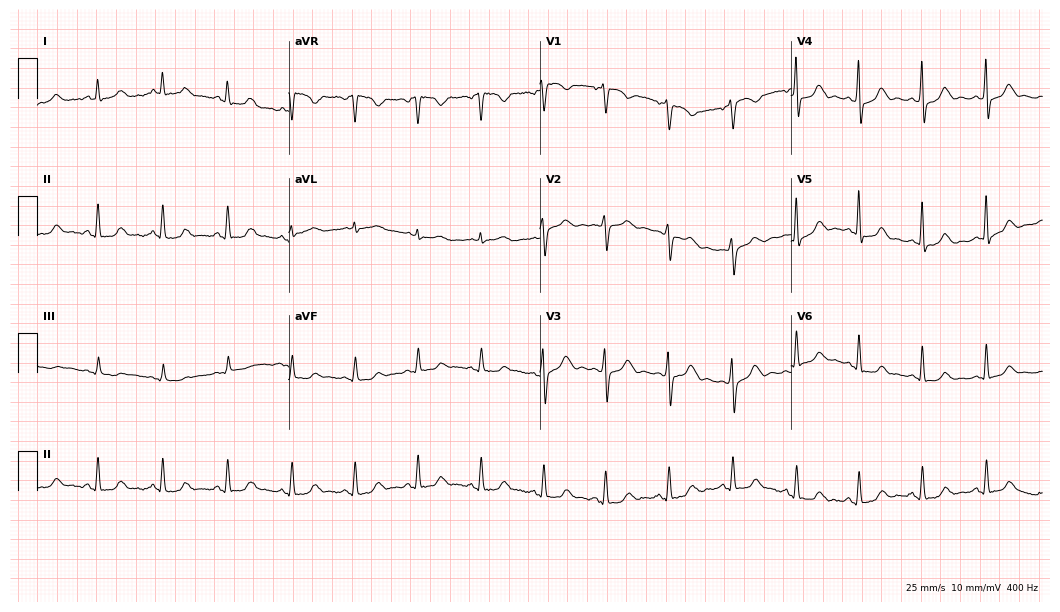
ECG (10.2-second recording at 400 Hz) — a female patient, 44 years old. Labelled as a normal ECG.